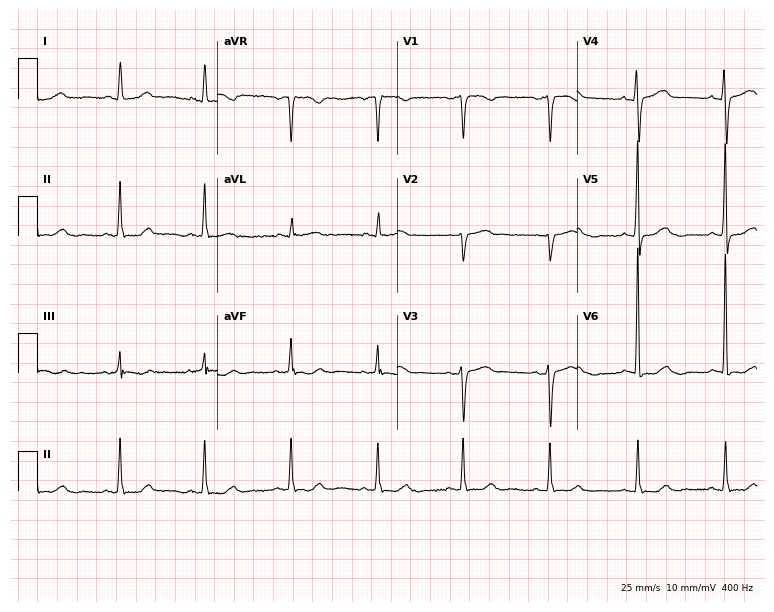
Standard 12-lead ECG recorded from a woman, 72 years old. Read as a normal ECG.